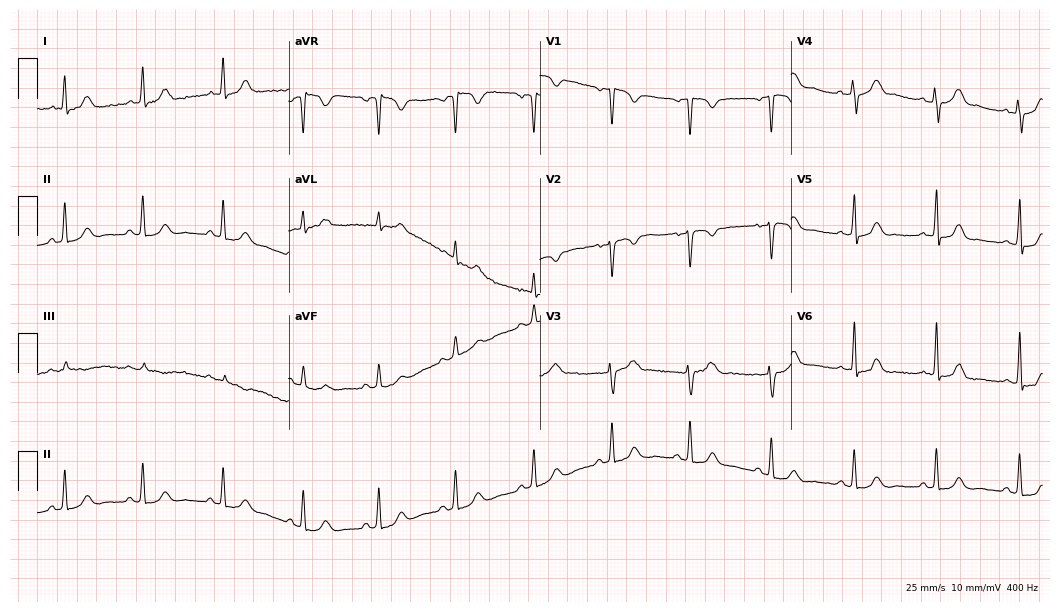
12-lead ECG from a 37-year-old female patient. Labelled as a normal ECG.